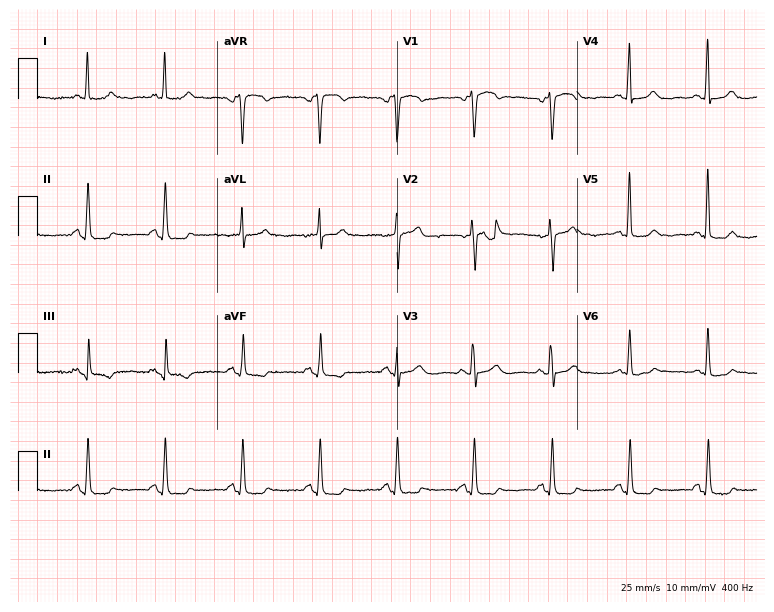
12-lead ECG from a female patient, 79 years old. Labelled as a normal ECG.